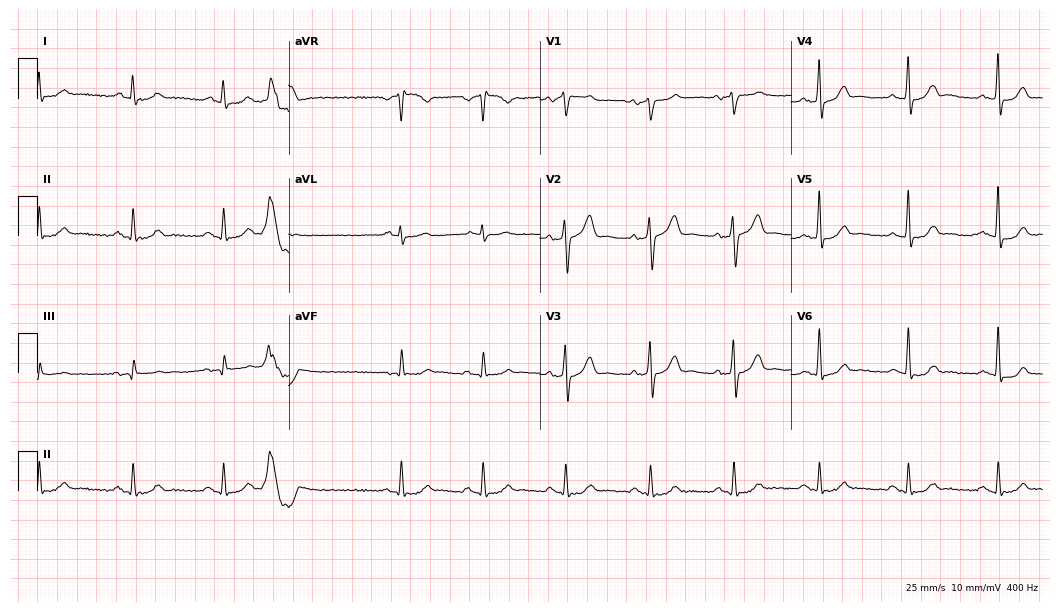
12-lead ECG from a 61-year-old woman (10.2-second recording at 400 Hz). No first-degree AV block, right bundle branch block, left bundle branch block, sinus bradycardia, atrial fibrillation or sinus tachycardia recorded for this tracing.